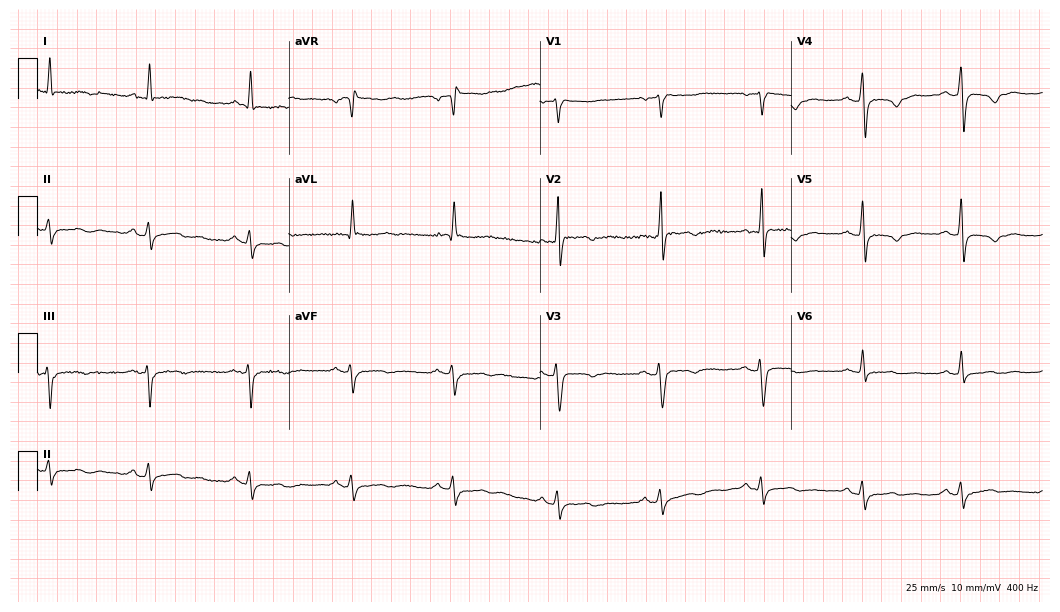
Standard 12-lead ECG recorded from a 45-year-old male. None of these six findings is recorded: first-degree AV block, right bundle branch block (RBBB), left bundle branch block (LBBB), sinus bradycardia, atrial fibrillation (AF), sinus tachycardia. Only these six findings were labelled.